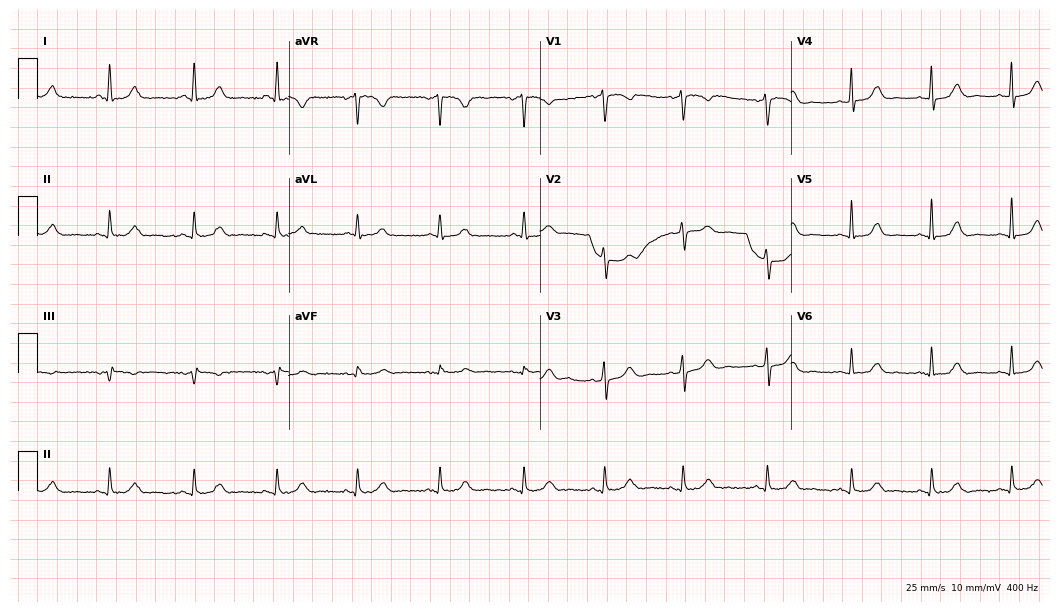
12-lead ECG from a 66-year-old woman. Recorded interpretation: within normal limits.